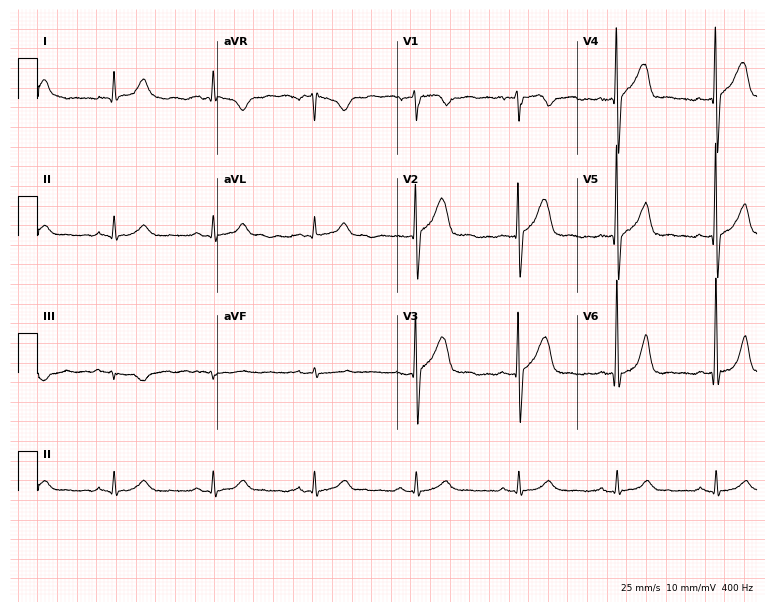
Resting 12-lead electrocardiogram. Patient: a 66-year-old male. Read as a normal ECG.